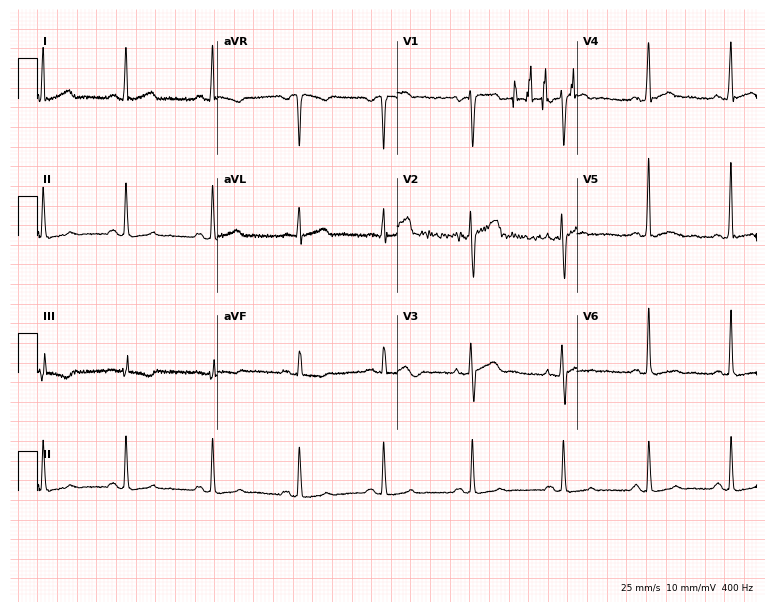
Standard 12-lead ECG recorded from a 38-year-old man (7.3-second recording at 400 Hz). None of these six findings is recorded: first-degree AV block, right bundle branch block, left bundle branch block, sinus bradycardia, atrial fibrillation, sinus tachycardia.